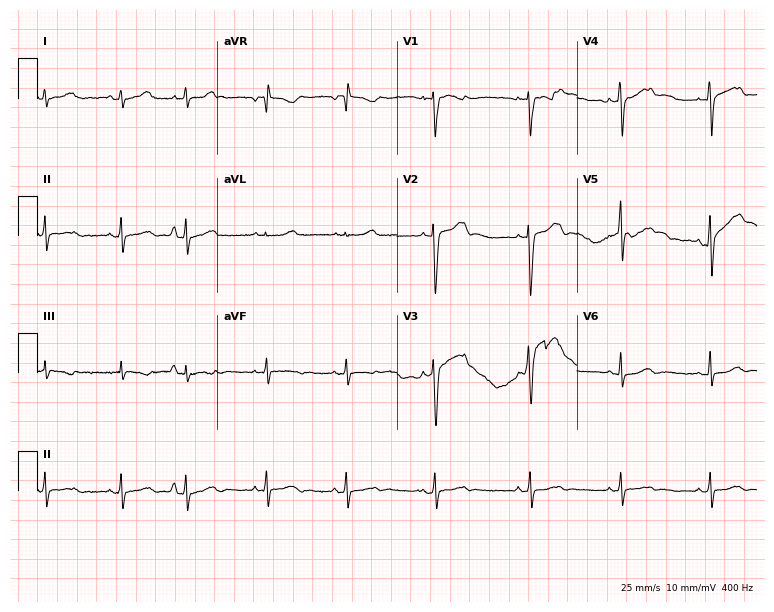
ECG — a female patient, 18 years old. Screened for six findings — first-degree AV block, right bundle branch block, left bundle branch block, sinus bradycardia, atrial fibrillation, sinus tachycardia — none is recorded. Findings outside these six are not listed.